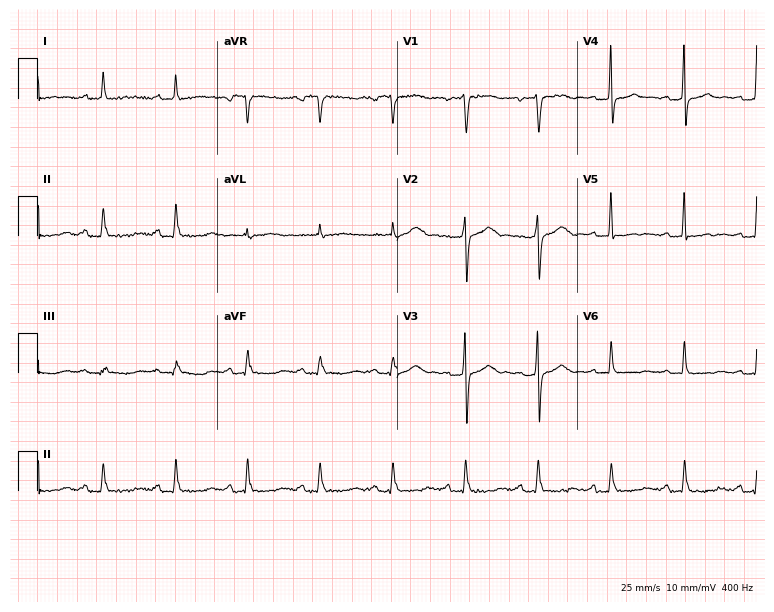
ECG (7.3-second recording at 400 Hz) — a 69-year-old female. Labelled as a normal ECG.